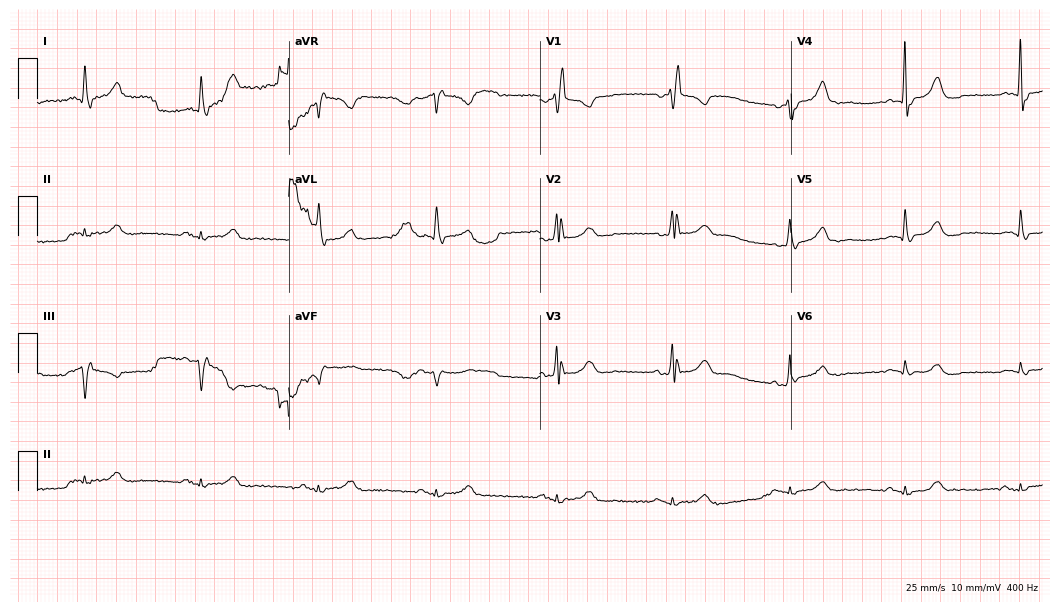
Resting 12-lead electrocardiogram (10.2-second recording at 400 Hz). Patient: a 67-year-old man. None of these six findings is recorded: first-degree AV block, right bundle branch block, left bundle branch block, sinus bradycardia, atrial fibrillation, sinus tachycardia. Findings outside these six are not listed.